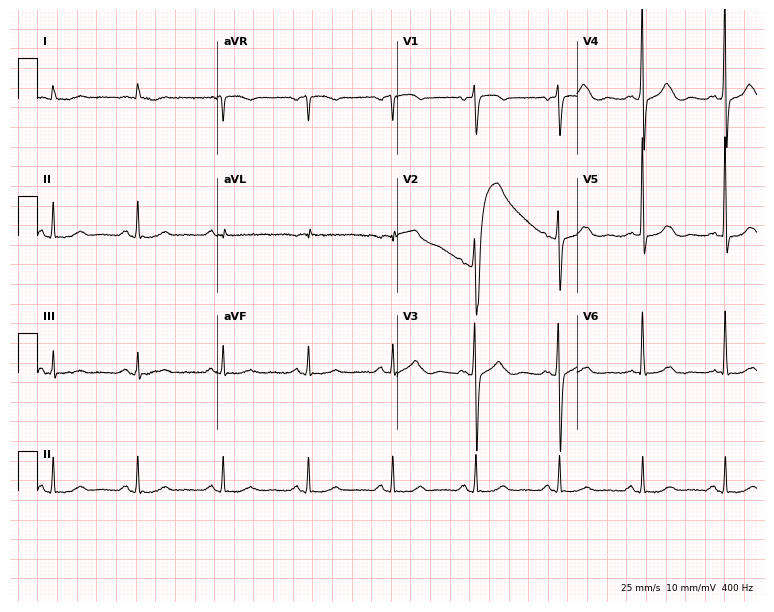
12-lead ECG from a man, 79 years old. No first-degree AV block, right bundle branch block, left bundle branch block, sinus bradycardia, atrial fibrillation or sinus tachycardia recorded for this tracing. Findings outside these six are not listed.